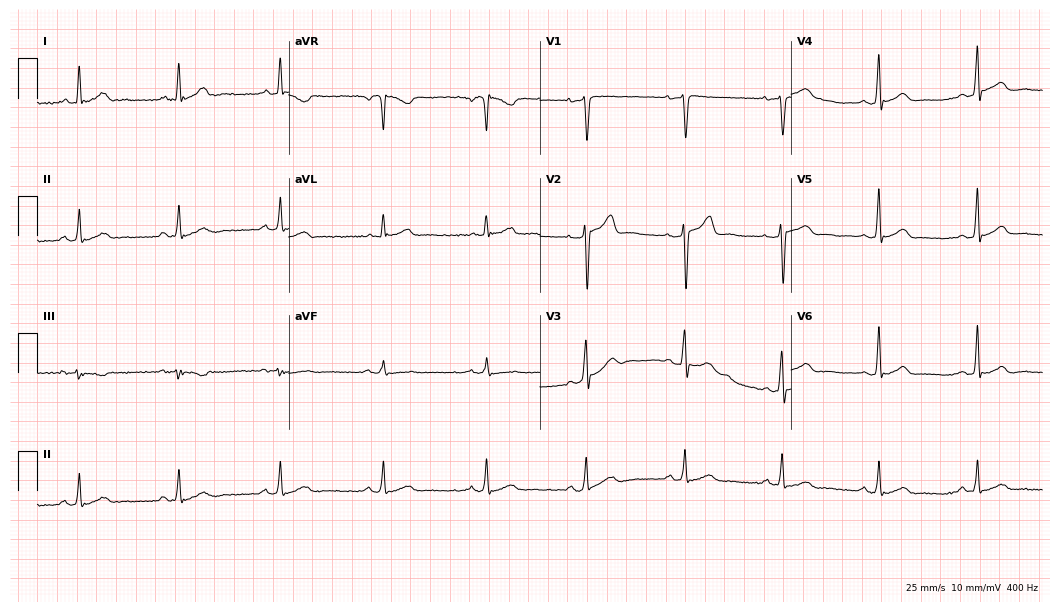
Resting 12-lead electrocardiogram. Patient: a 40-year-old male. Read as a normal ECG.